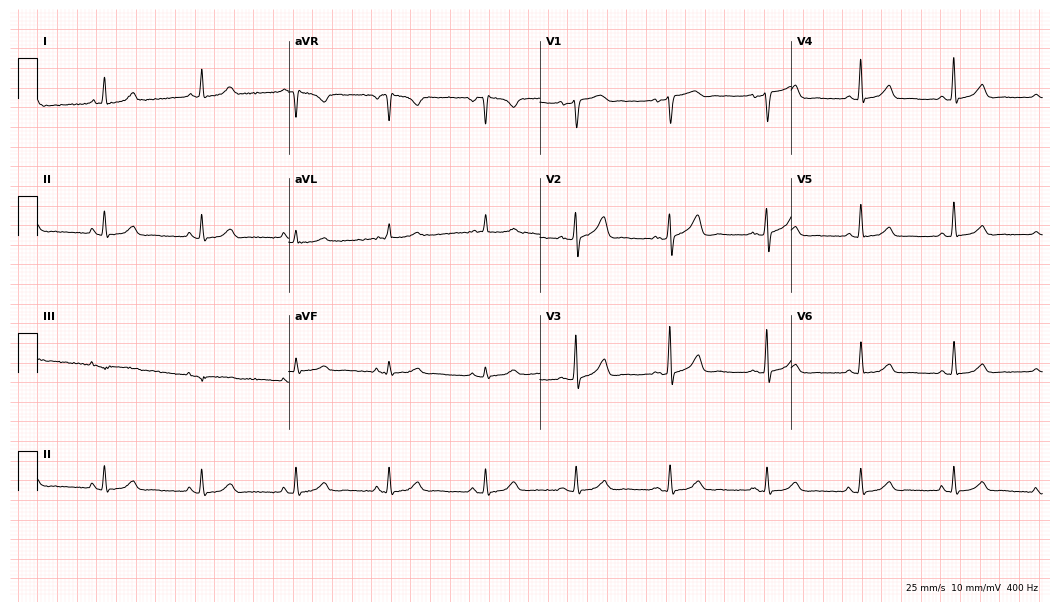
12-lead ECG from a 53-year-old female (10.2-second recording at 400 Hz). Recorded interpretation: within normal limits.